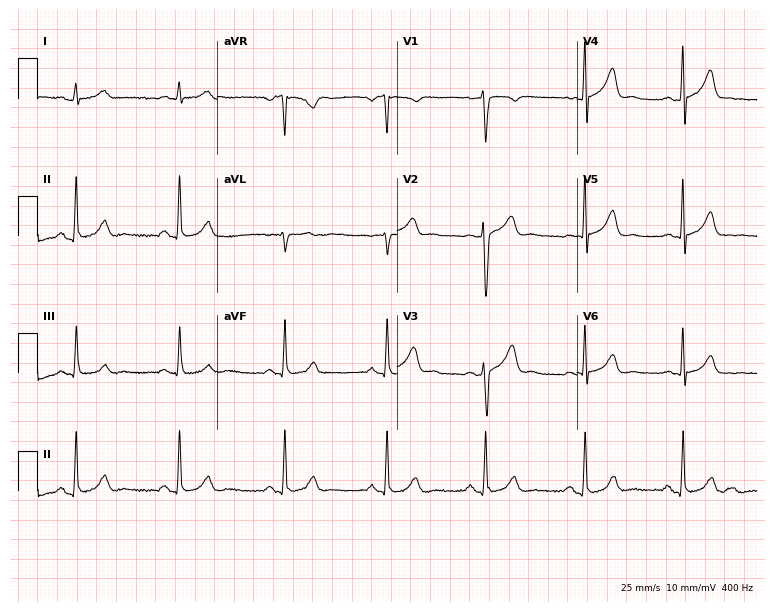
ECG — a male, 44 years old. Labelled as a normal ECG.